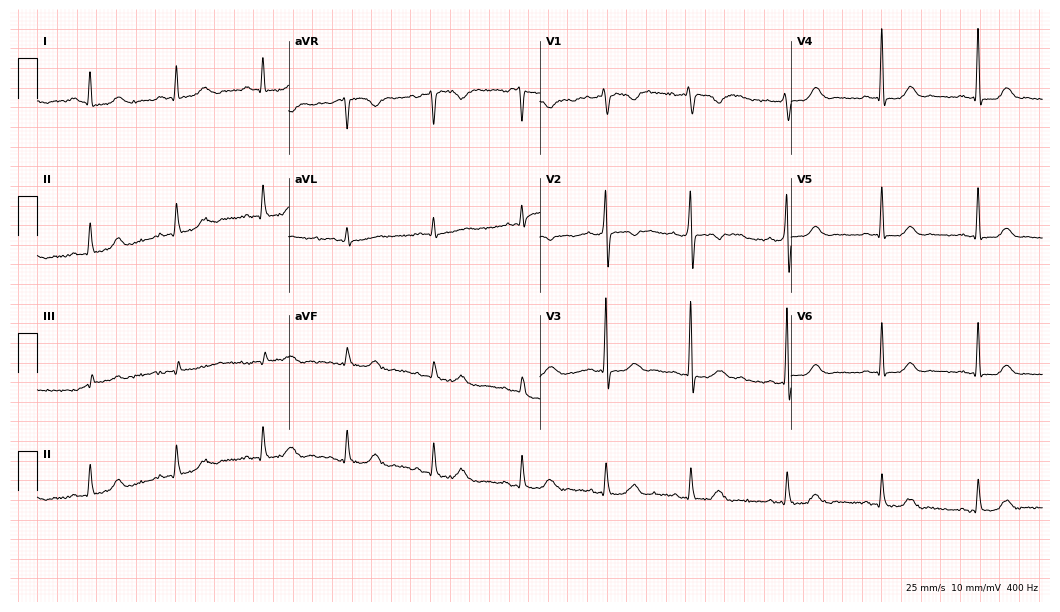
Resting 12-lead electrocardiogram. Patient: a 36-year-old female. Read as a normal ECG.